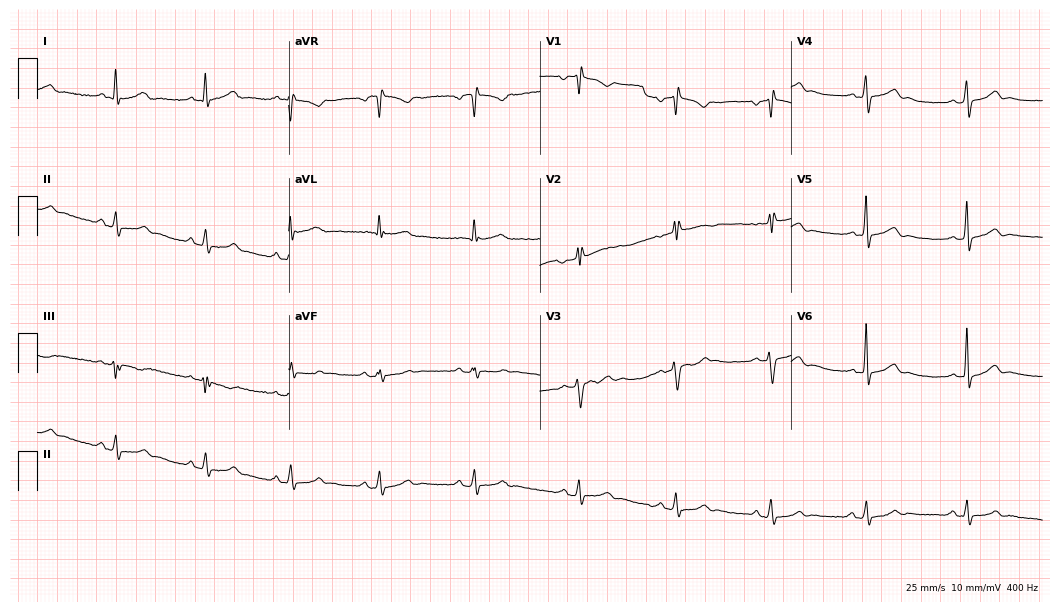
Resting 12-lead electrocardiogram. Patient: a 19-year-old female. Read as a normal ECG.